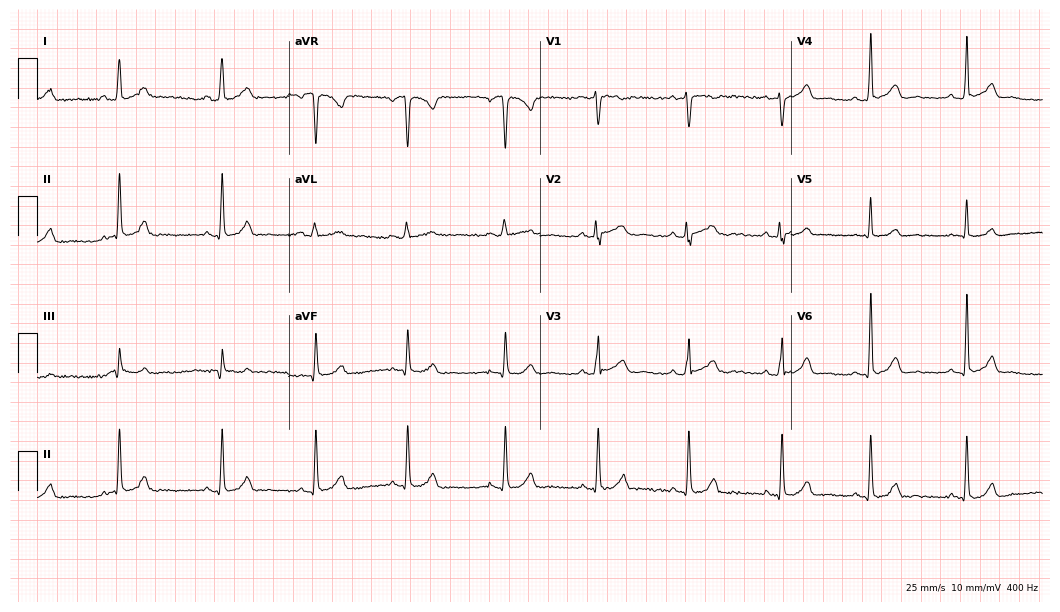
Resting 12-lead electrocardiogram. Patient: a 25-year-old female. Read as a normal ECG.